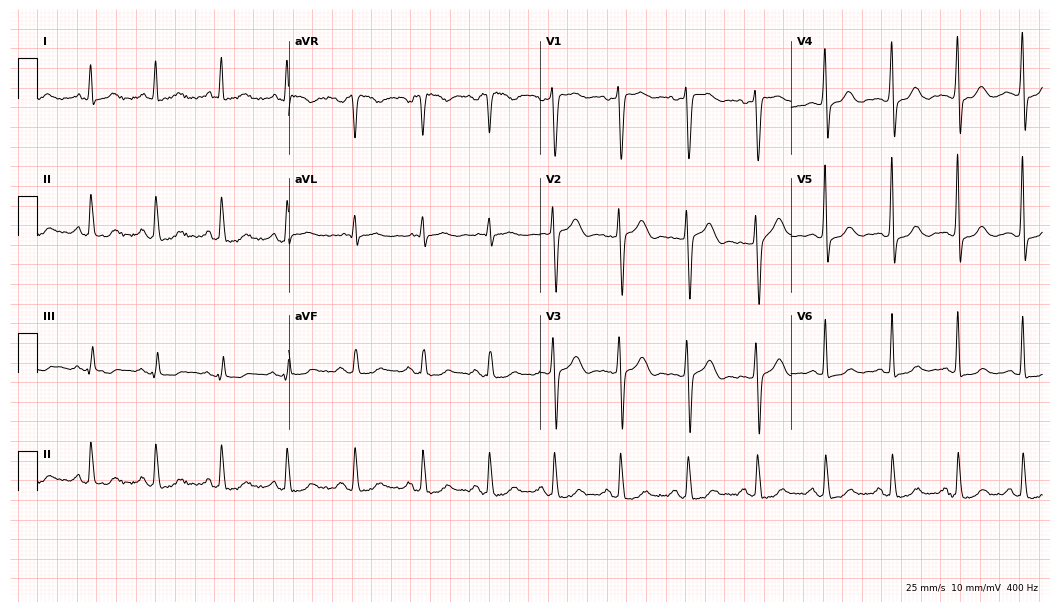
Electrocardiogram (10.2-second recording at 400 Hz), a female, 54 years old. Of the six screened findings (first-degree AV block, right bundle branch block (RBBB), left bundle branch block (LBBB), sinus bradycardia, atrial fibrillation (AF), sinus tachycardia), none is recorded. Only these six findings were labelled.